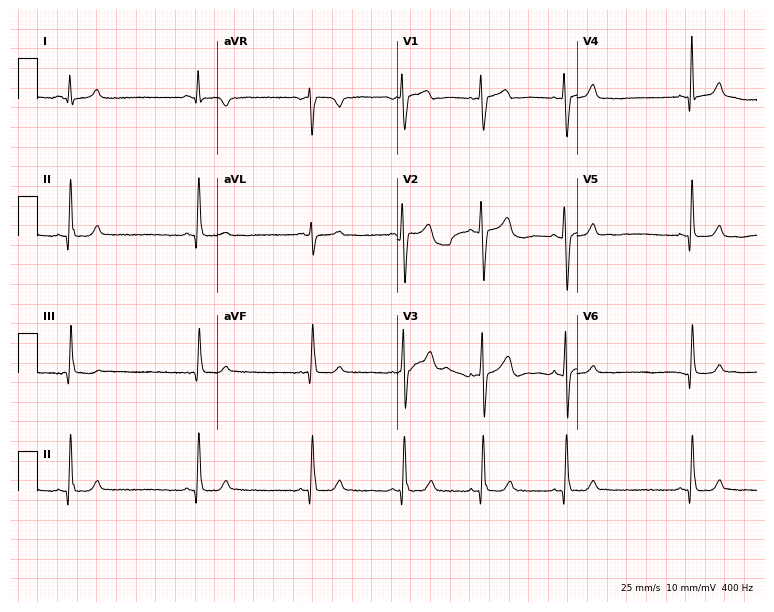
12-lead ECG from an 18-year-old female. No first-degree AV block, right bundle branch block, left bundle branch block, sinus bradycardia, atrial fibrillation or sinus tachycardia recorded for this tracing.